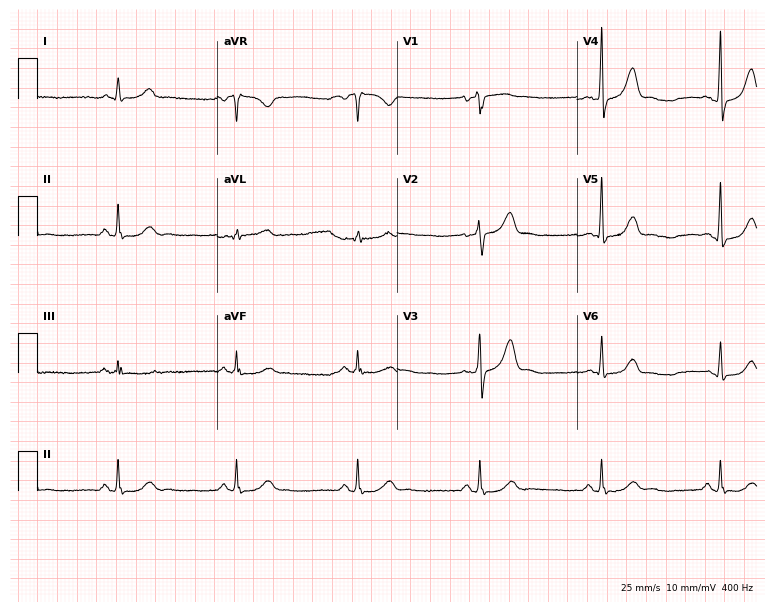
Standard 12-lead ECG recorded from a 57-year-old man. The tracing shows sinus bradycardia (a sinus rate of 50 beats per minute or less).